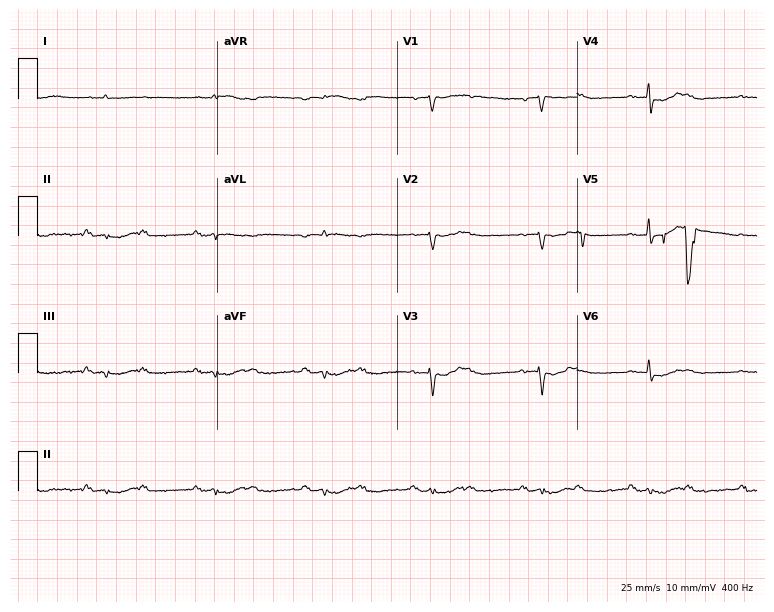
Standard 12-lead ECG recorded from a male, 85 years old. None of these six findings is recorded: first-degree AV block, right bundle branch block, left bundle branch block, sinus bradycardia, atrial fibrillation, sinus tachycardia.